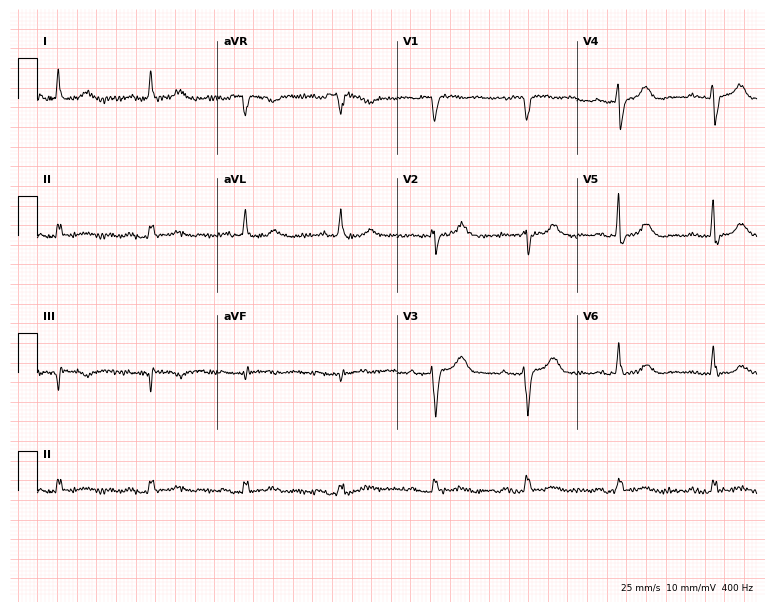
Standard 12-lead ECG recorded from an 81-year-old female patient. Read as a normal ECG.